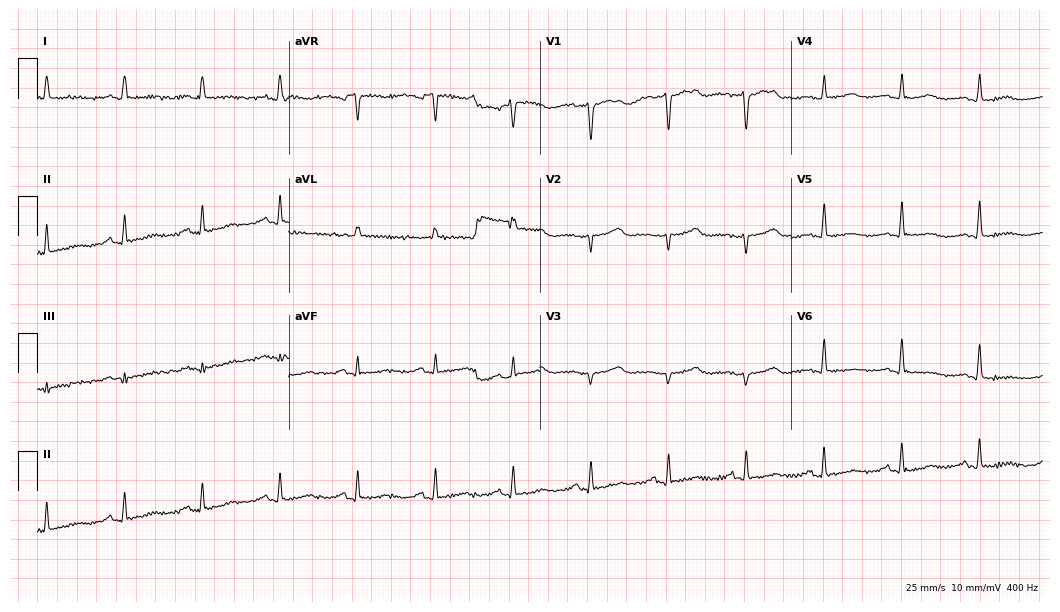
12-lead ECG from a 59-year-old female patient. No first-degree AV block, right bundle branch block (RBBB), left bundle branch block (LBBB), sinus bradycardia, atrial fibrillation (AF) or sinus tachycardia recorded for this tracing.